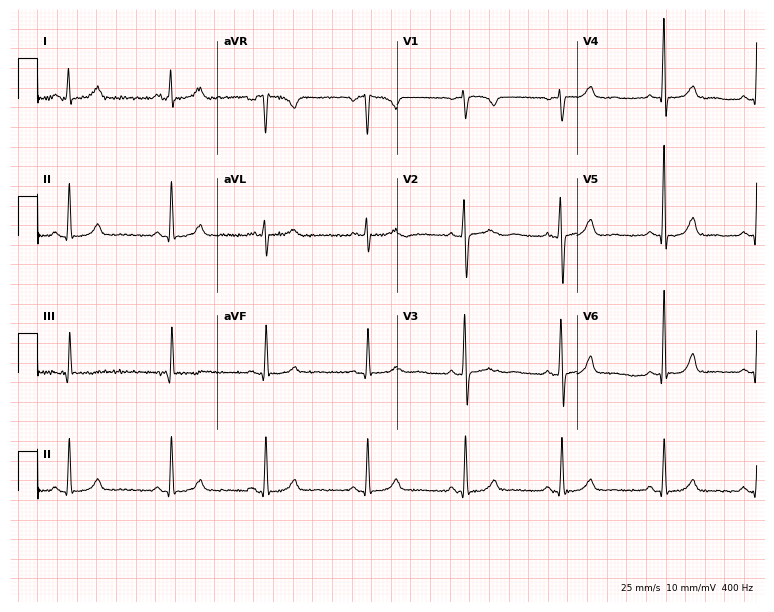
Standard 12-lead ECG recorded from a 32-year-old female patient. None of these six findings is recorded: first-degree AV block, right bundle branch block, left bundle branch block, sinus bradycardia, atrial fibrillation, sinus tachycardia. Only these six findings were labelled.